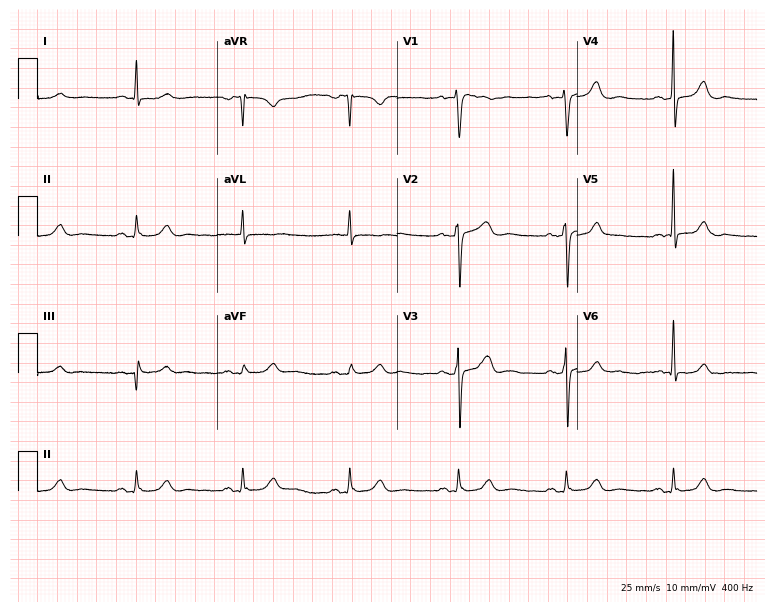
Standard 12-lead ECG recorded from a 72-year-old male patient. Read as a normal ECG.